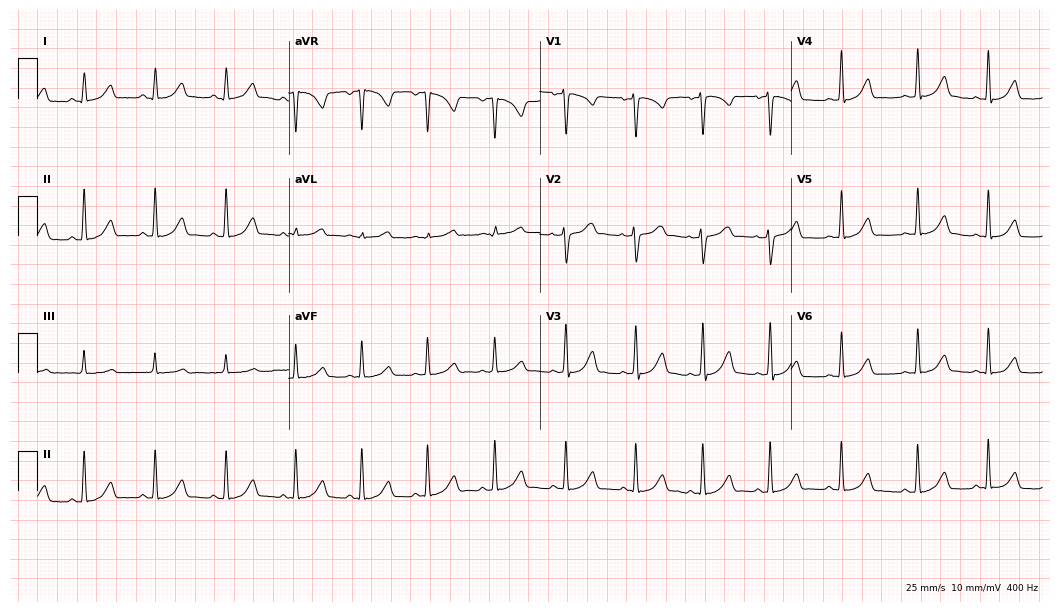
12-lead ECG from a 34-year-old female patient. Labelled as a normal ECG.